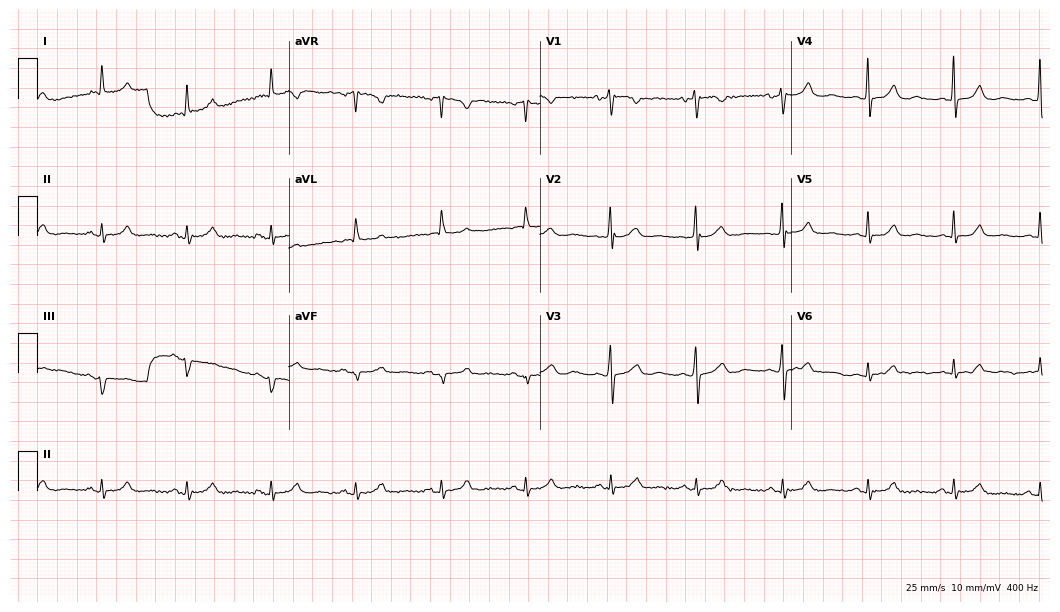
ECG — a woman, 73 years old. Screened for six findings — first-degree AV block, right bundle branch block (RBBB), left bundle branch block (LBBB), sinus bradycardia, atrial fibrillation (AF), sinus tachycardia — none is recorded.